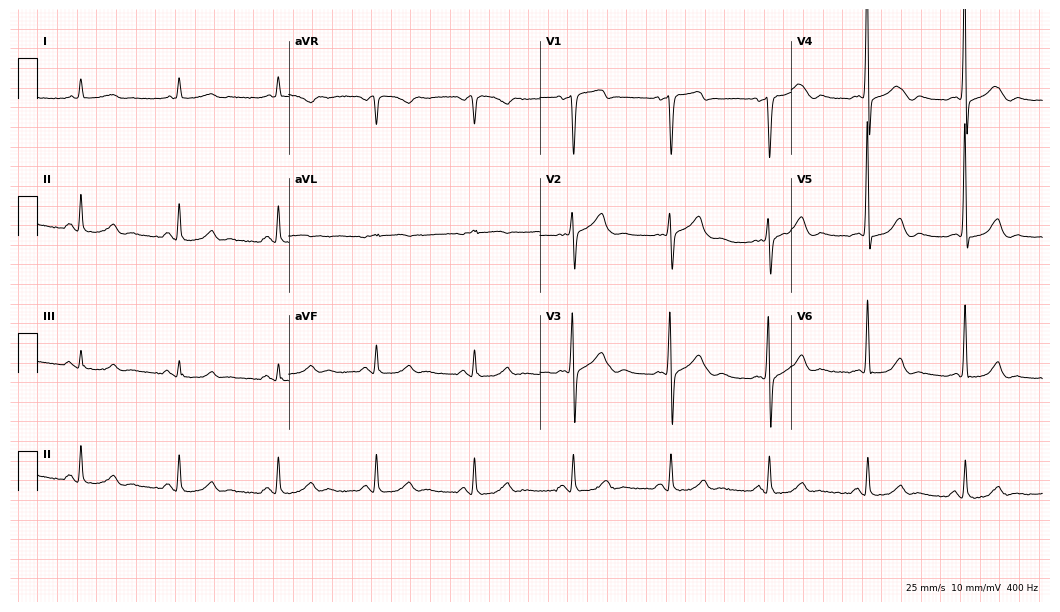
Resting 12-lead electrocardiogram (10.2-second recording at 400 Hz). Patient: a 70-year-old male. Read as a normal ECG.